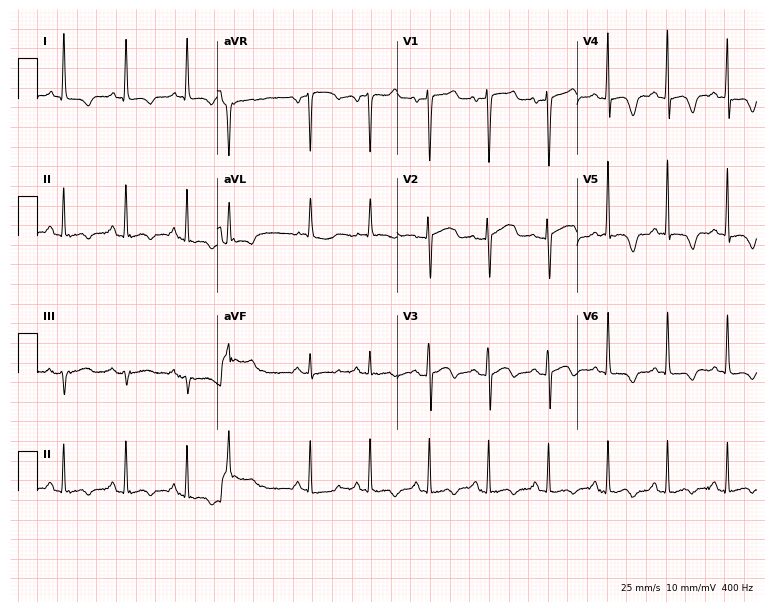
12-lead ECG from a female patient, 57 years old. No first-degree AV block, right bundle branch block (RBBB), left bundle branch block (LBBB), sinus bradycardia, atrial fibrillation (AF) or sinus tachycardia recorded for this tracing.